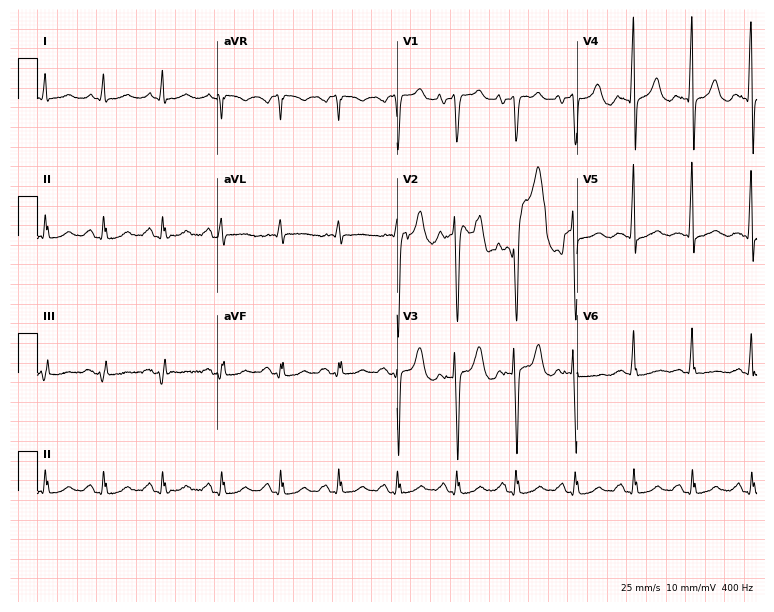
Standard 12-lead ECG recorded from a 60-year-old male patient (7.3-second recording at 400 Hz). None of these six findings is recorded: first-degree AV block, right bundle branch block (RBBB), left bundle branch block (LBBB), sinus bradycardia, atrial fibrillation (AF), sinus tachycardia.